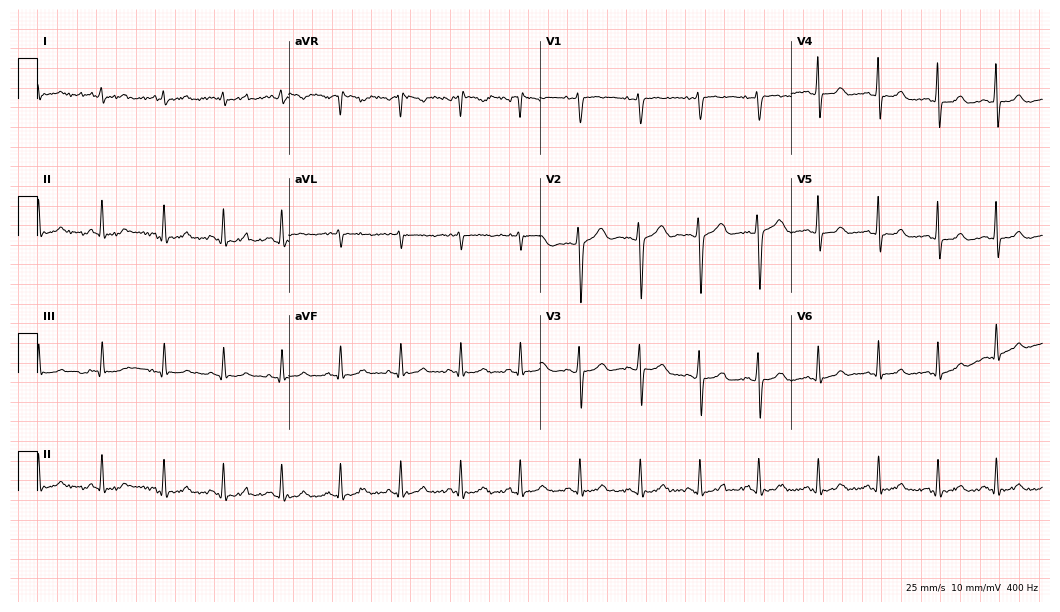
12-lead ECG from a female, 25 years old. Recorded interpretation: within normal limits.